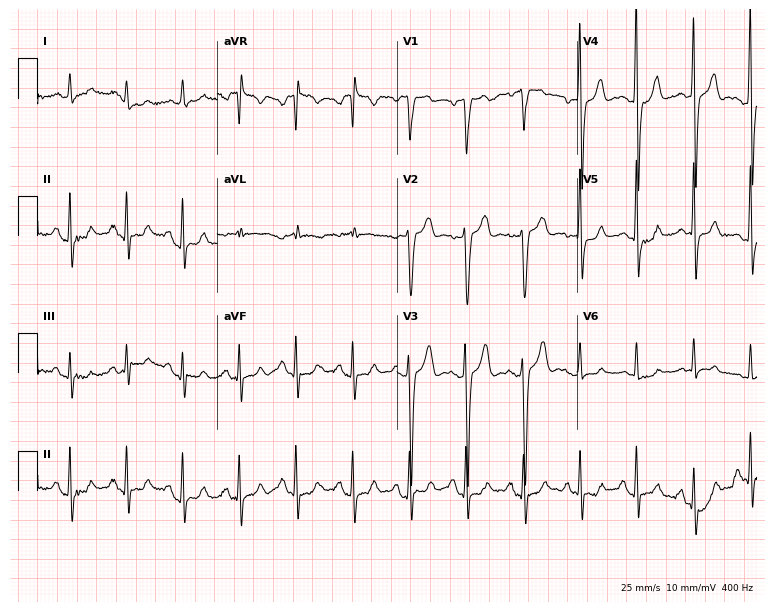
12-lead ECG from a male patient, 54 years old. Findings include sinus tachycardia (a sinus rate of 100 beats per minute or more).